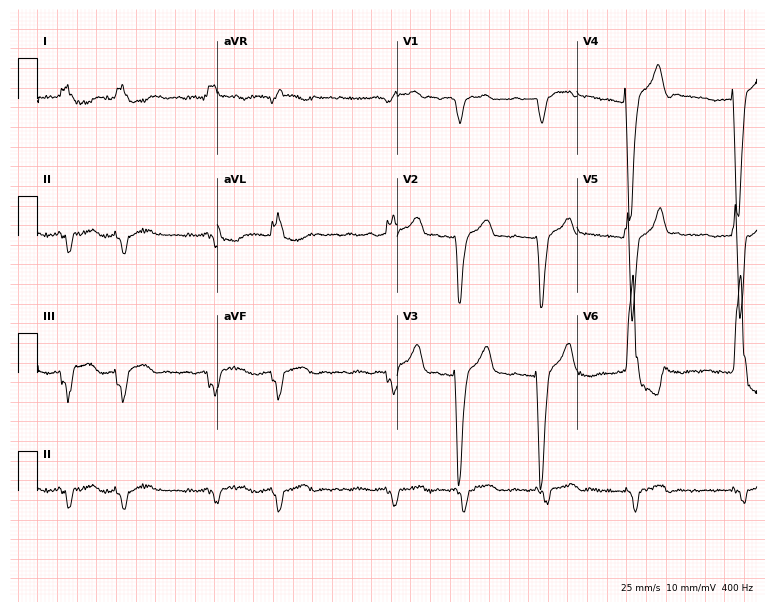
Standard 12-lead ECG recorded from a woman, 77 years old. The tracing shows left bundle branch block (LBBB), atrial fibrillation (AF).